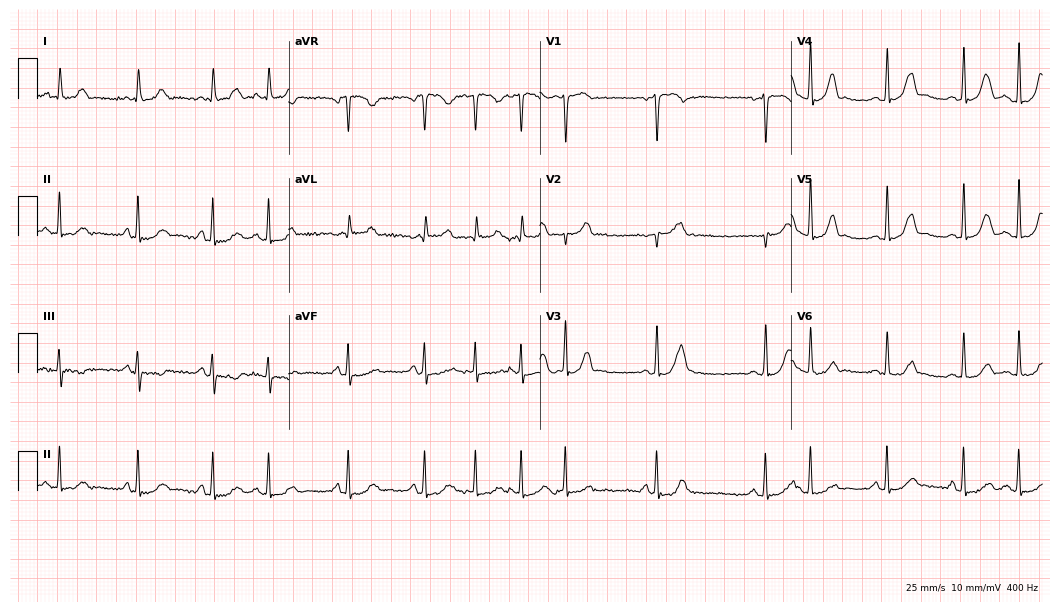
ECG (10.2-second recording at 400 Hz) — a 70-year-old female patient. Labelled as a normal ECG.